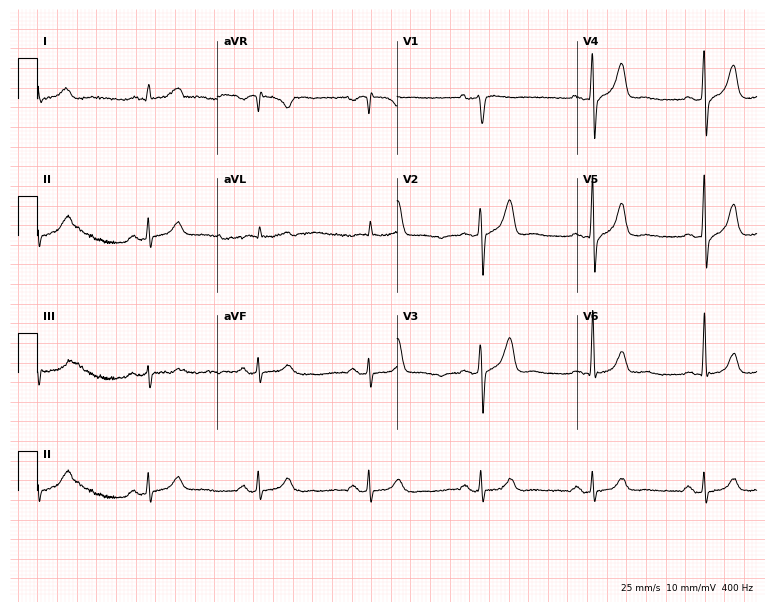
Standard 12-lead ECG recorded from a man, 63 years old. Read as a normal ECG.